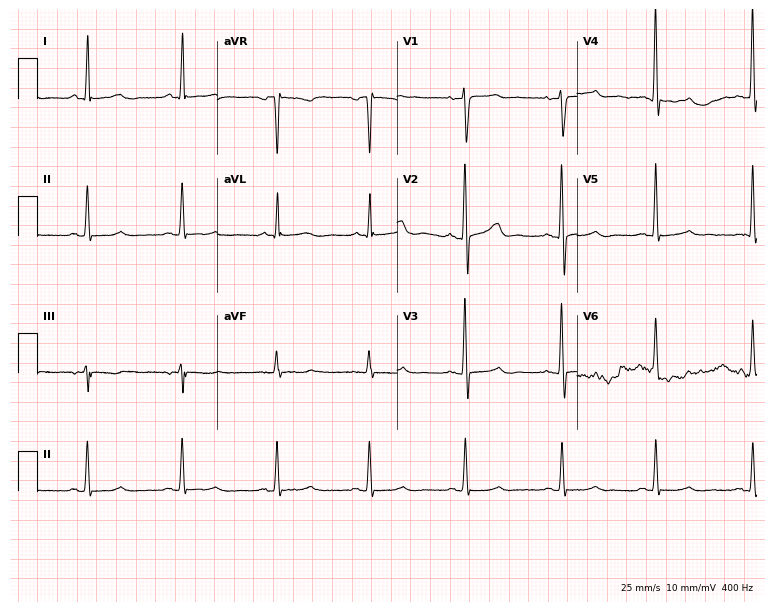
Standard 12-lead ECG recorded from a woman, 67 years old. None of these six findings is recorded: first-degree AV block, right bundle branch block (RBBB), left bundle branch block (LBBB), sinus bradycardia, atrial fibrillation (AF), sinus tachycardia.